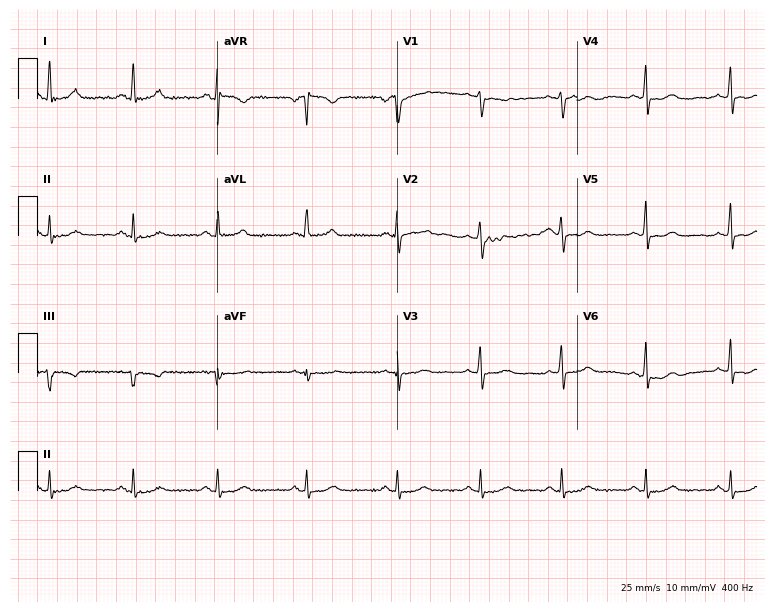
ECG (7.3-second recording at 400 Hz) — a female, 67 years old. Labelled as a normal ECG.